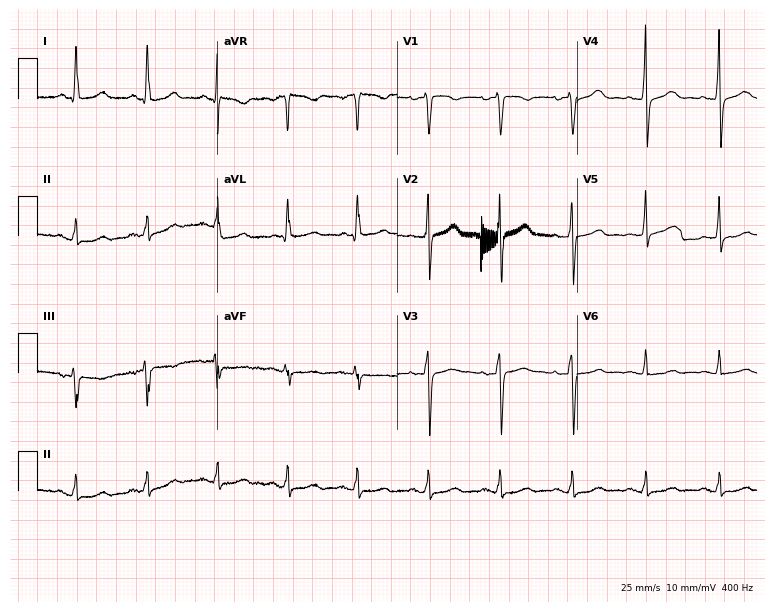
Resting 12-lead electrocardiogram. Patient: a female, 62 years old. Read as a normal ECG.